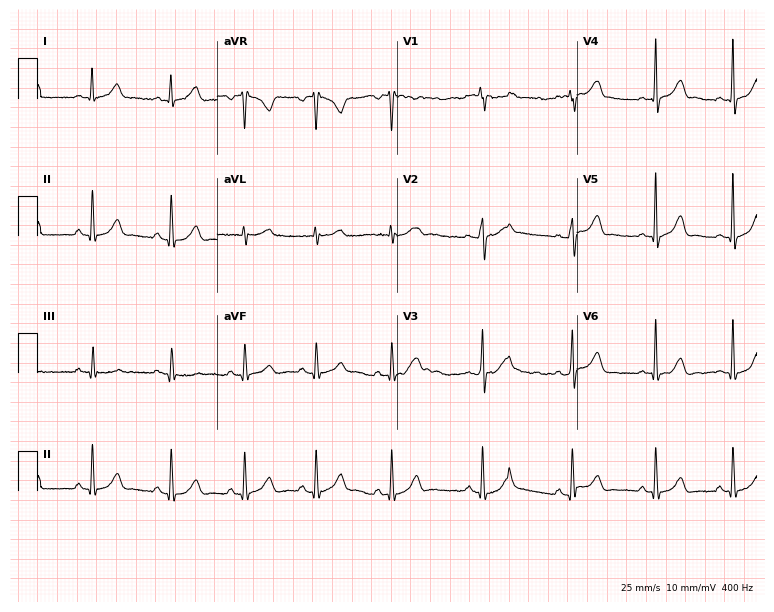
ECG (7.3-second recording at 400 Hz) — a woman, 24 years old. Labelled as a normal ECG.